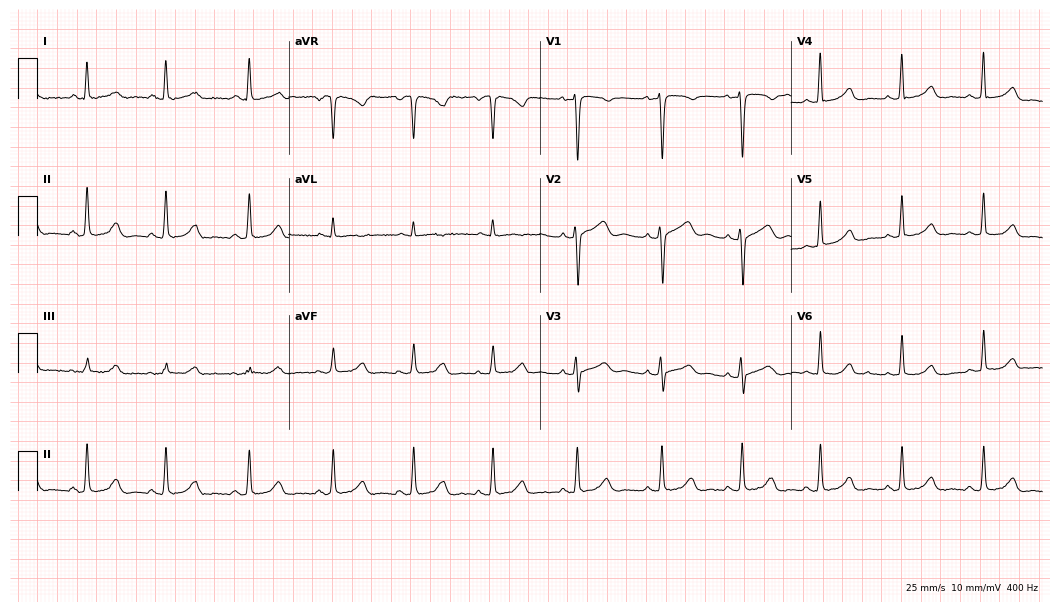
12-lead ECG from a 33-year-old female. Recorded interpretation: within normal limits.